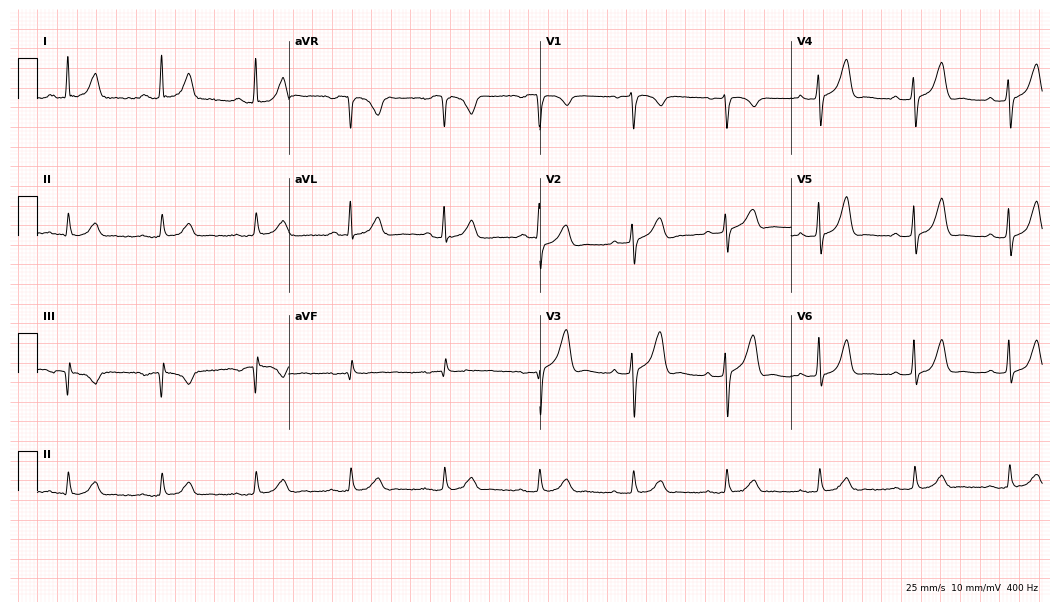
12-lead ECG from a 72-year-old male. No first-degree AV block, right bundle branch block (RBBB), left bundle branch block (LBBB), sinus bradycardia, atrial fibrillation (AF) or sinus tachycardia recorded for this tracing. Only these six findings were labelled.